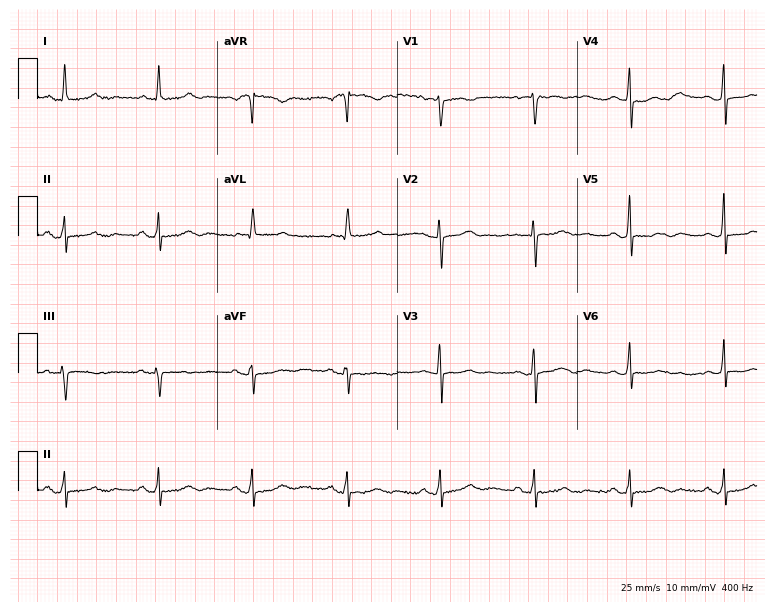
Electrocardiogram, a 67-year-old female patient. Of the six screened findings (first-degree AV block, right bundle branch block (RBBB), left bundle branch block (LBBB), sinus bradycardia, atrial fibrillation (AF), sinus tachycardia), none is recorded. Findings outside these six are not listed.